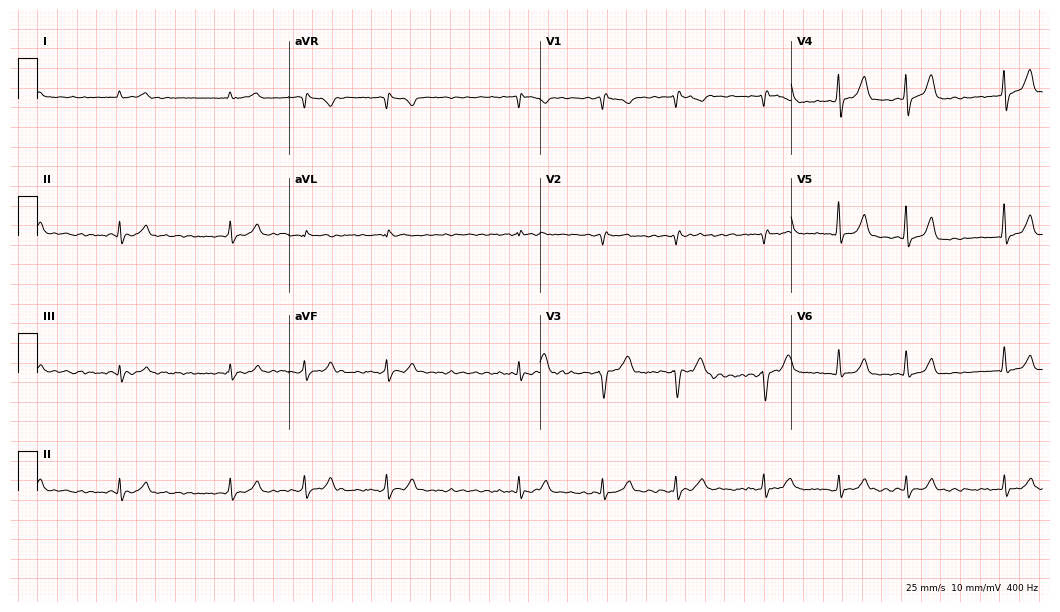
ECG — a man, 62 years old. Findings include atrial fibrillation.